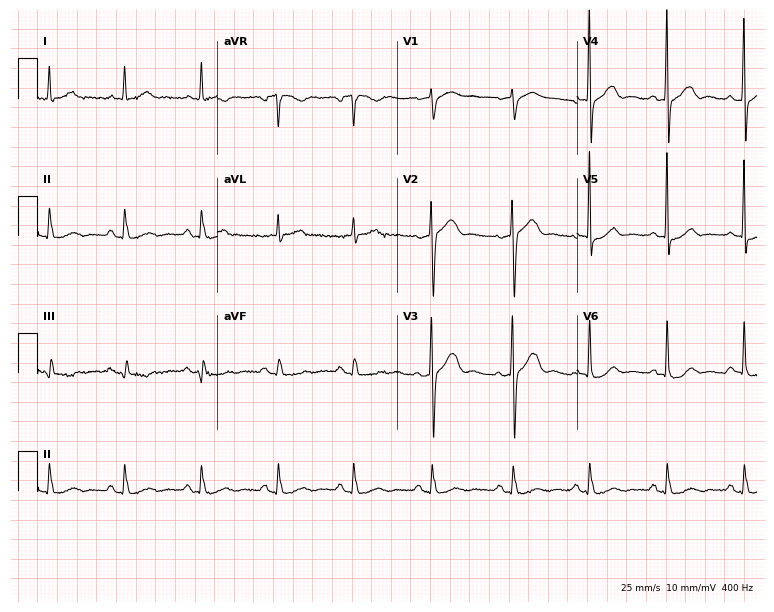
ECG — a 78-year-old male patient. Labelled as a normal ECG.